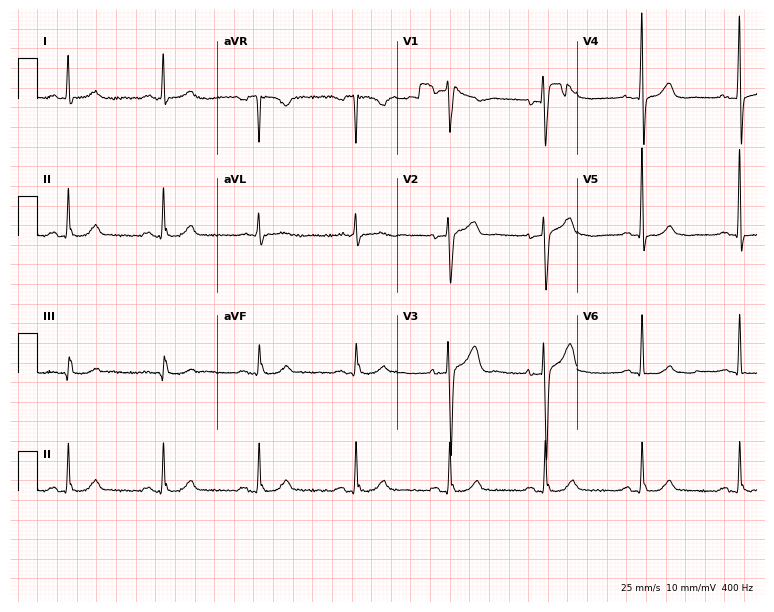
ECG (7.3-second recording at 400 Hz) — a male, 55 years old. Screened for six findings — first-degree AV block, right bundle branch block, left bundle branch block, sinus bradycardia, atrial fibrillation, sinus tachycardia — none is recorded.